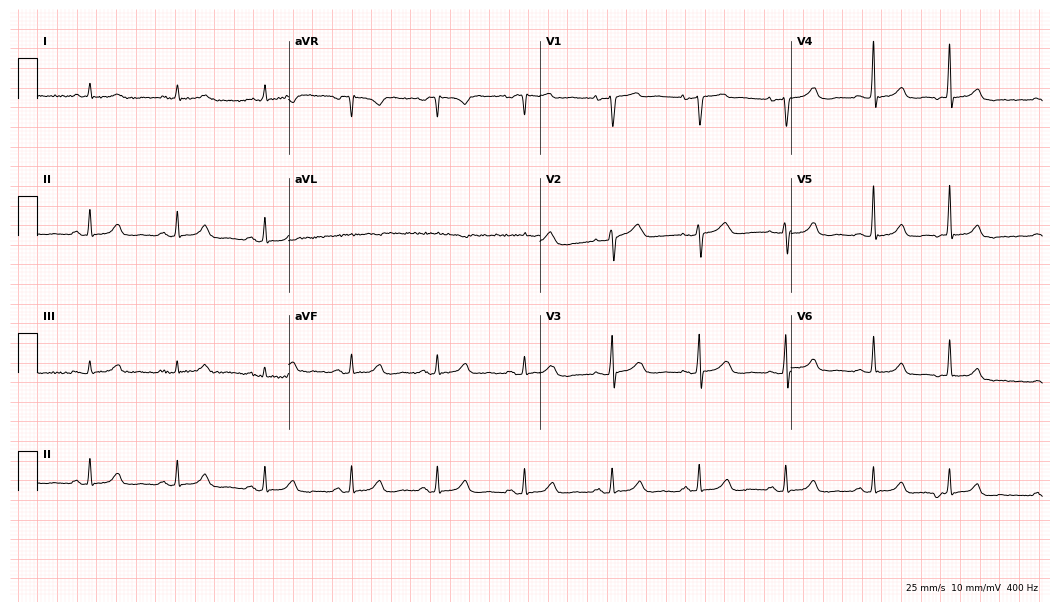
Electrocardiogram (10.2-second recording at 400 Hz), a 78-year-old female patient. Overall reading on record: normal ECG.